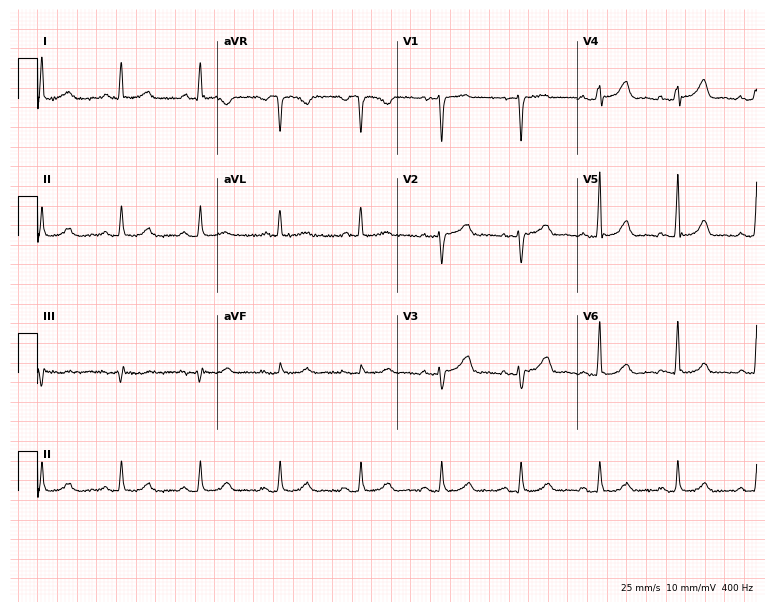
12-lead ECG from a woman, 70 years old. Recorded interpretation: within normal limits.